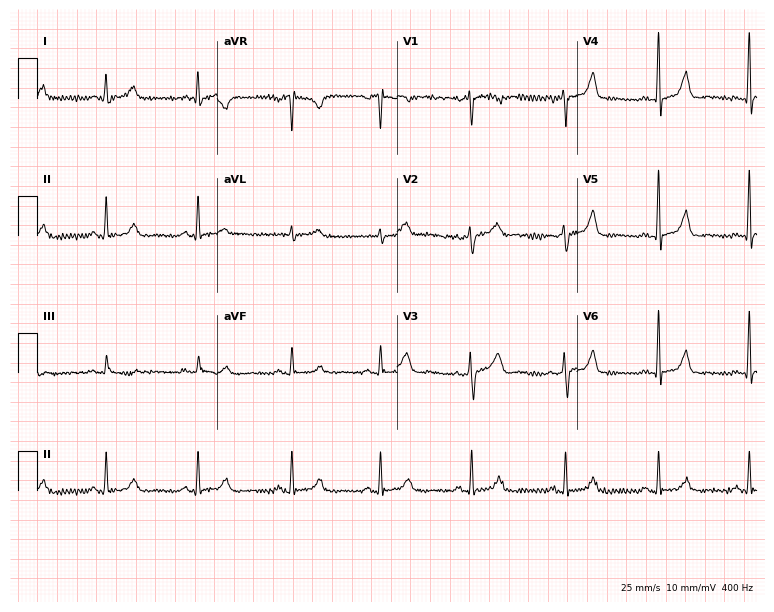
Resting 12-lead electrocardiogram (7.3-second recording at 400 Hz). Patient: a woman, 40 years old. Read as a normal ECG.